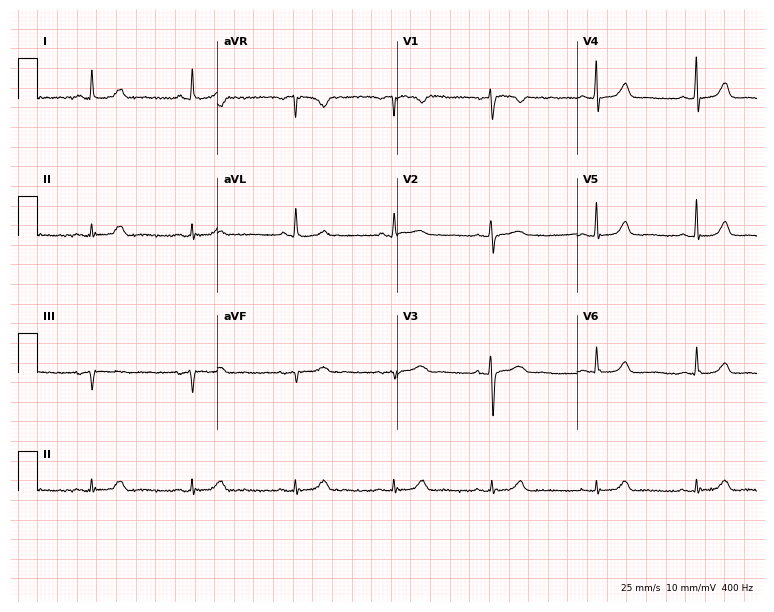
Standard 12-lead ECG recorded from a woman, 65 years old. None of these six findings is recorded: first-degree AV block, right bundle branch block (RBBB), left bundle branch block (LBBB), sinus bradycardia, atrial fibrillation (AF), sinus tachycardia.